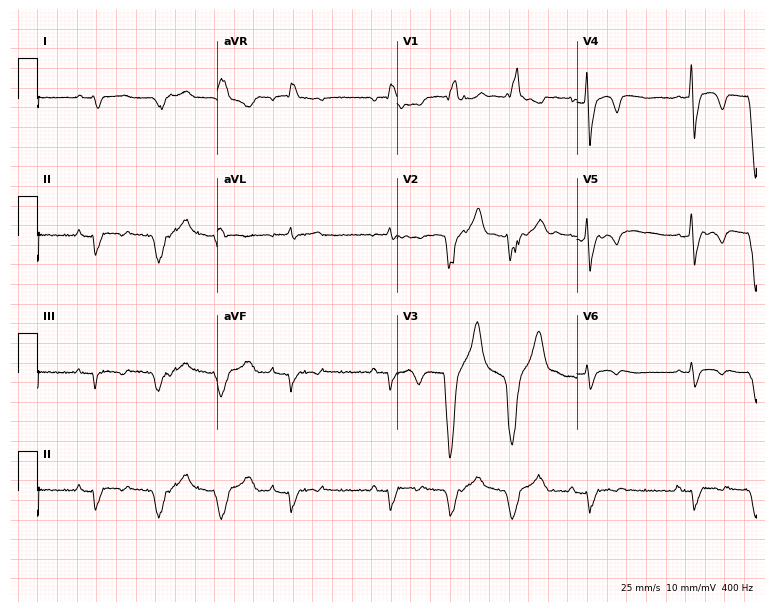
Resting 12-lead electrocardiogram (7.3-second recording at 400 Hz). Patient: a 60-year-old male. None of these six findings is recorded: first-degree AV block, right bundle branch block, left bundle branch block, sinus bradycardia, atrial fibrillation, sinus tachycardia. Findings outside these six are not listed.